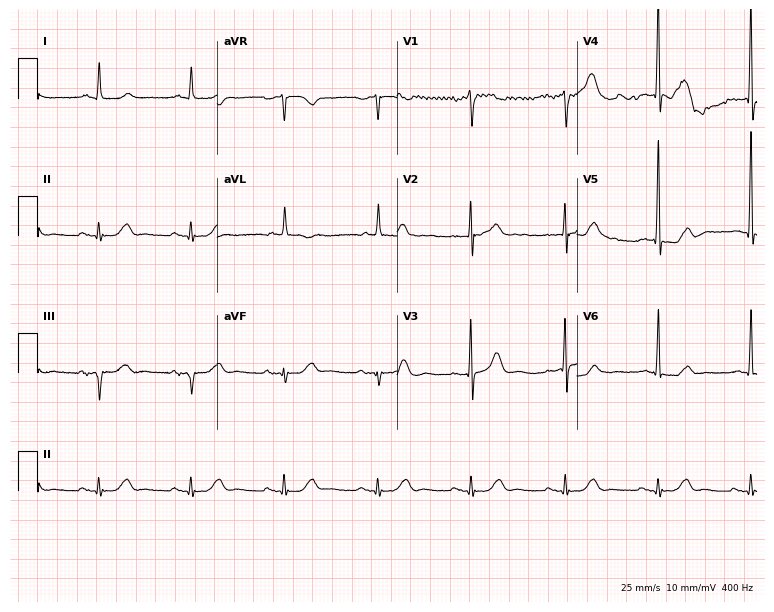
12-lead ECG (7.3-second recording at 400 Hz) from an 84-year-old male. Labelled as a normal ECG.